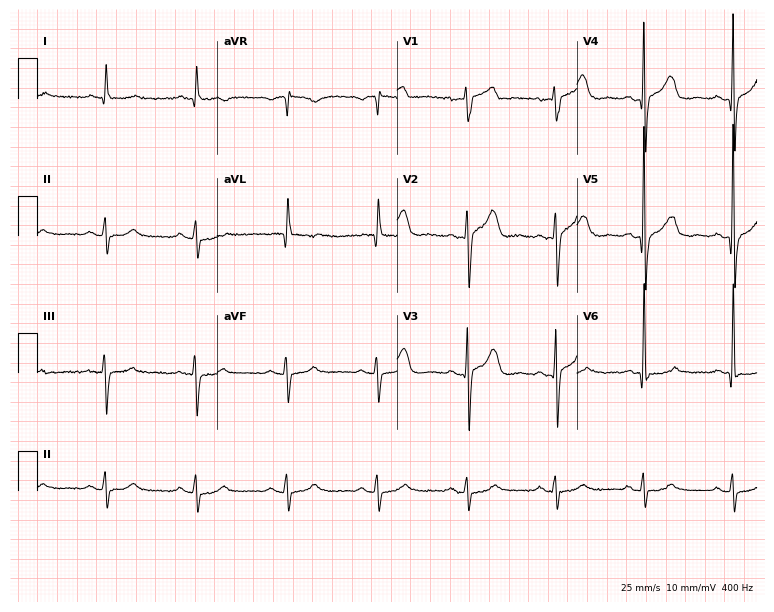
12-lead ECG from an 82-year-old man. Screened for six findings — first-degree AV block, right bundle branch block, left bundle branch block, sinus bradycardia, atrial fibrillation, sinus tachycardia — none is recorded.